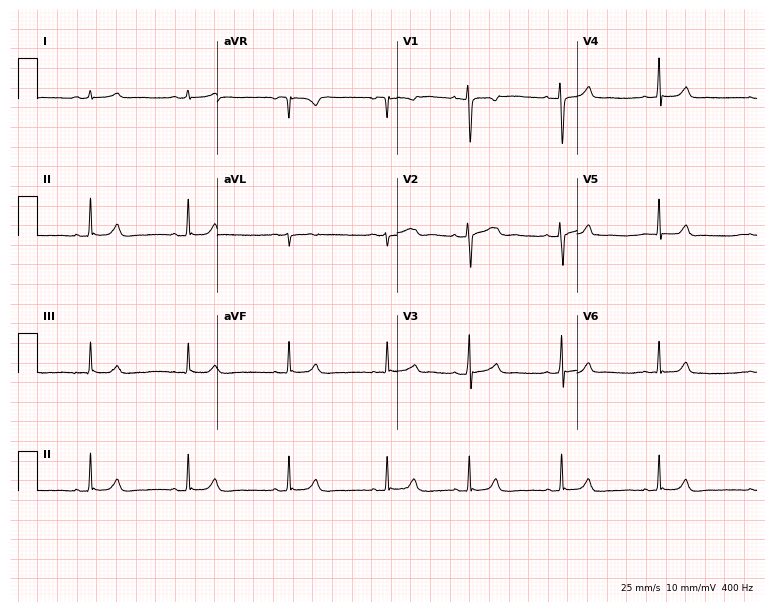
12-lead ECG from a 19-year-old woman. Labelled as a normal ECG.